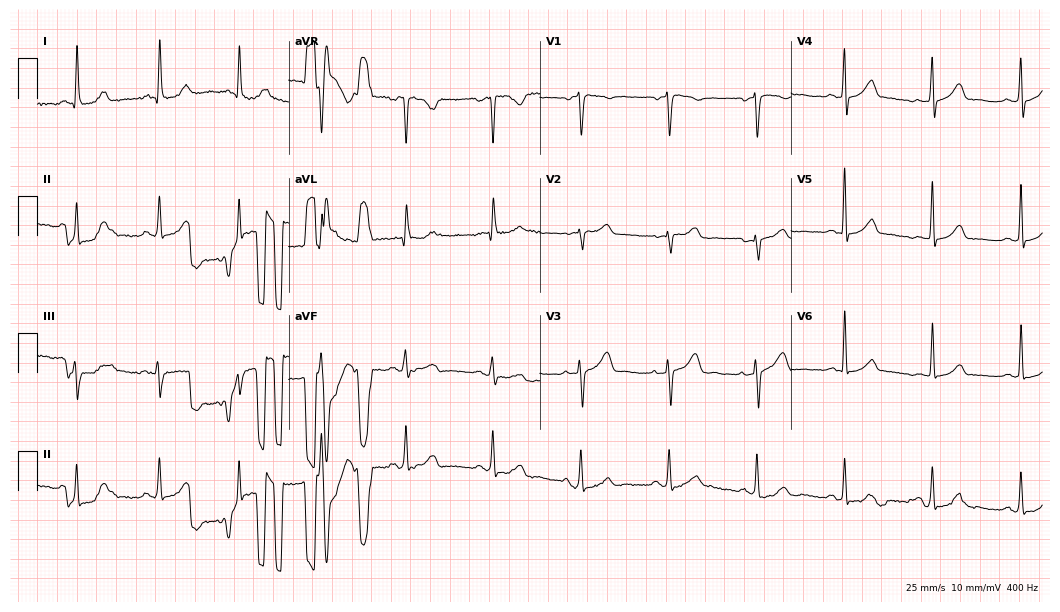
12-lead ECG from a 74-year-old female patient. Recorded interpretation: within normal limits.